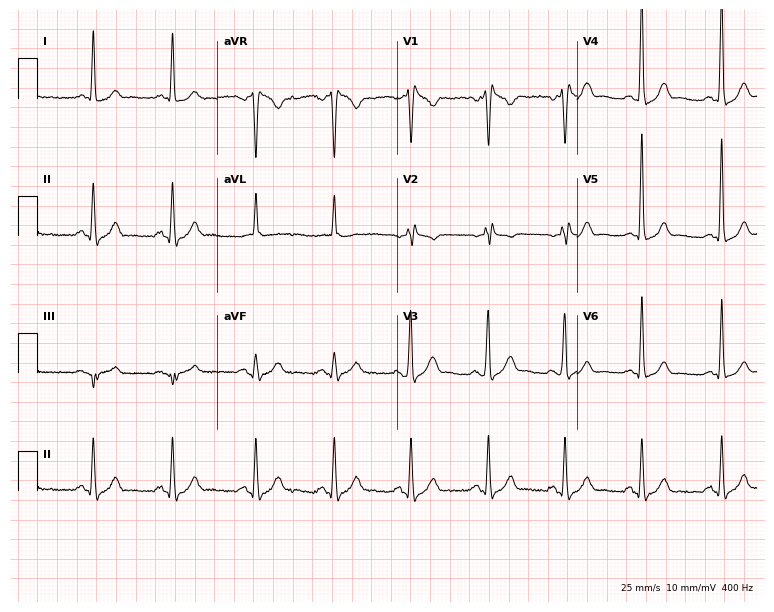
12-lead ECG from a 50-year-old man. Shows right bundle branch block (RBBB).